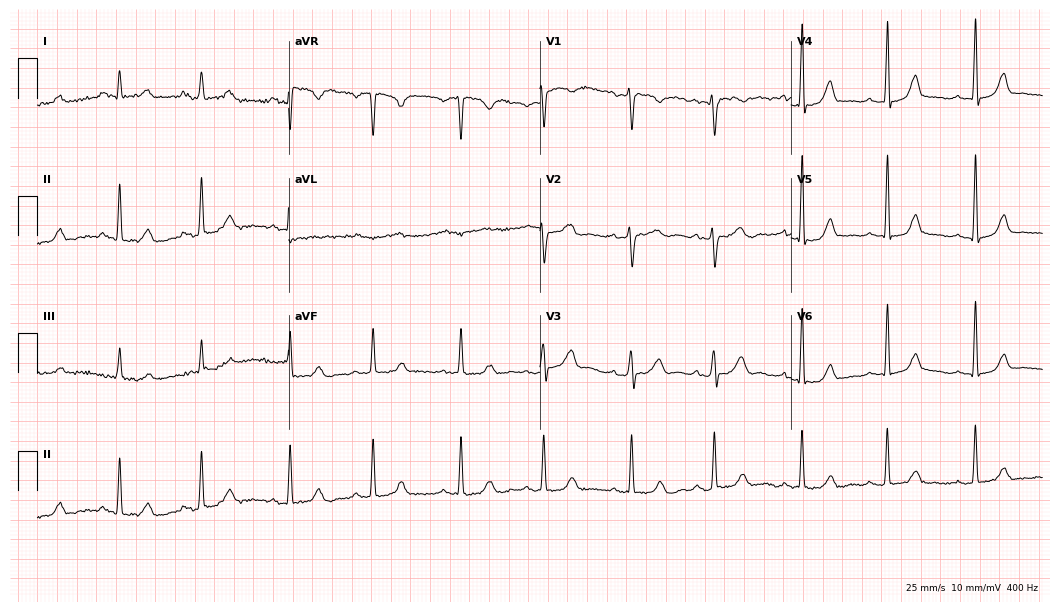
12-lead ECG from a female, 34 years old. Labelled as a normal ECG.